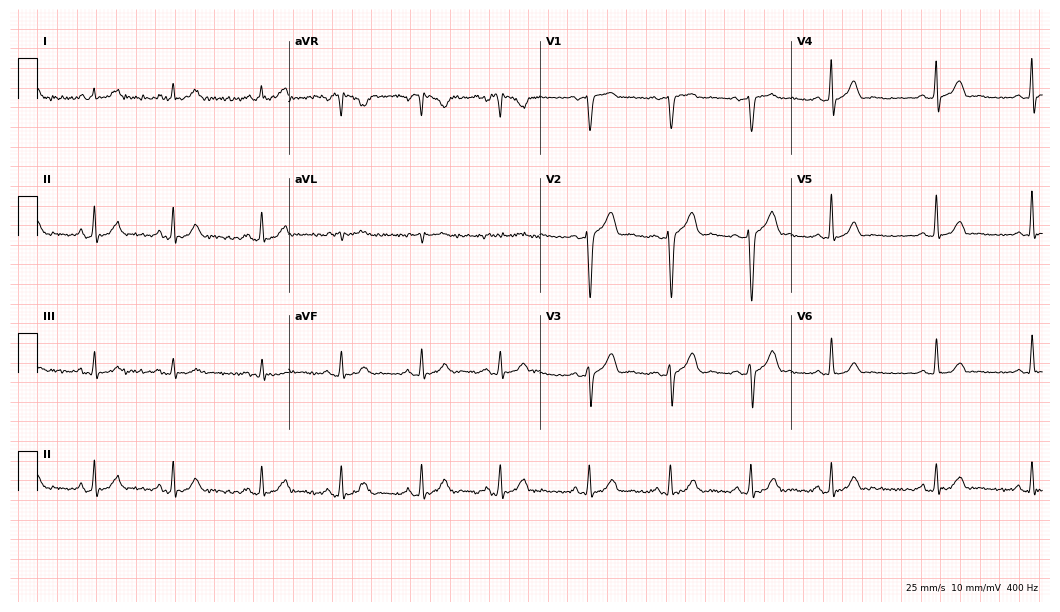
12-lead ECG (10.2-second recording at 400 Hz) from a male patient, 40 years old. Screened for six findings — first-degree AV block, right bundle branch block, left bundle branch block, sinus bradycardia, atrial fibrillation, sinus tachycardia — none is recorded.